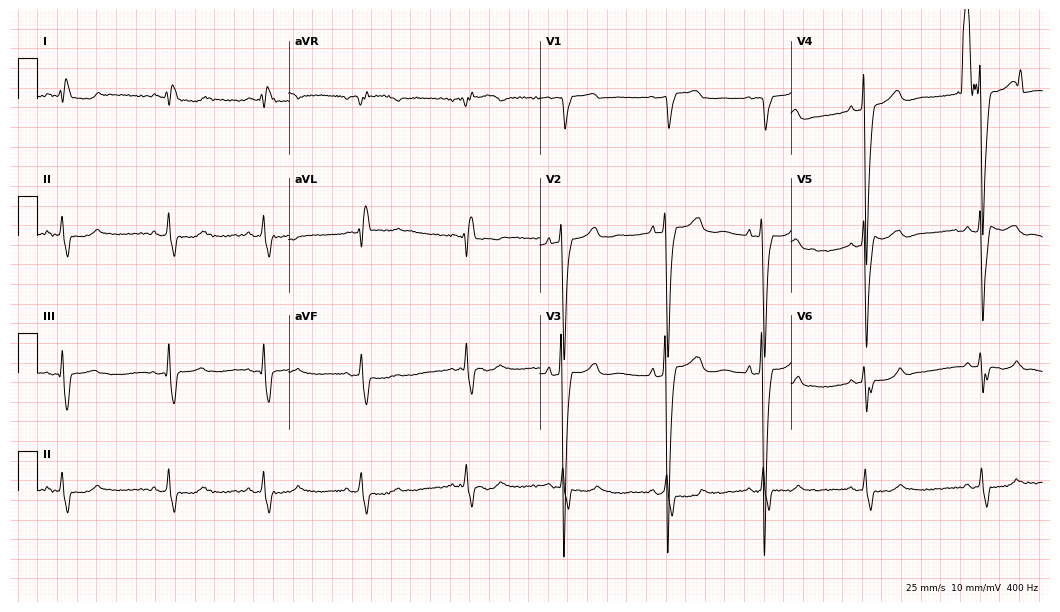
12-lead ECG from a female patient, 77 years old. No first-degree AV block, right bundle branch block, left bundle branch block, sinus bradycardia, atrial fibrillation or sinus tachycardia recorded for this tracing.